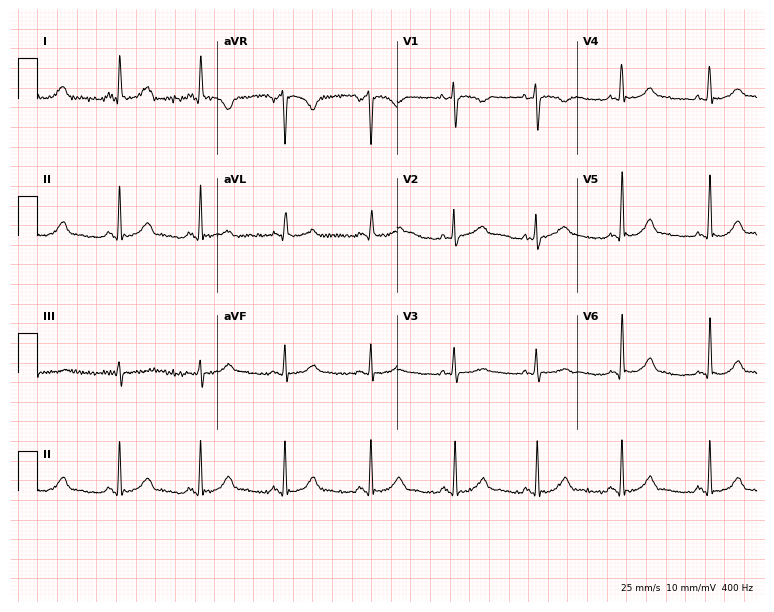
Electrocardiogram (7.3-second recording at 400 Hz), a woman, 40 years old. Overall reading on record: normal ECG.